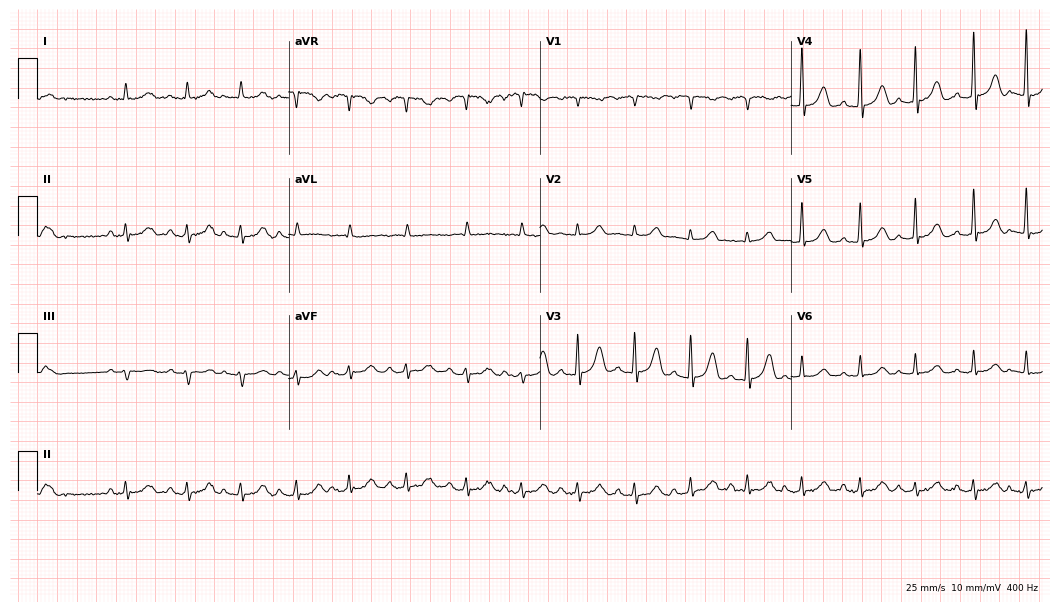
ECG — a female patient, 81 years old. Screened for six findings — first-degree AV block, right bundle branch block, left bundle branch block, sinus bradycardia, atrial fibrillation, sinus tachycardia — none is recorded. Only these six findings were labelled.